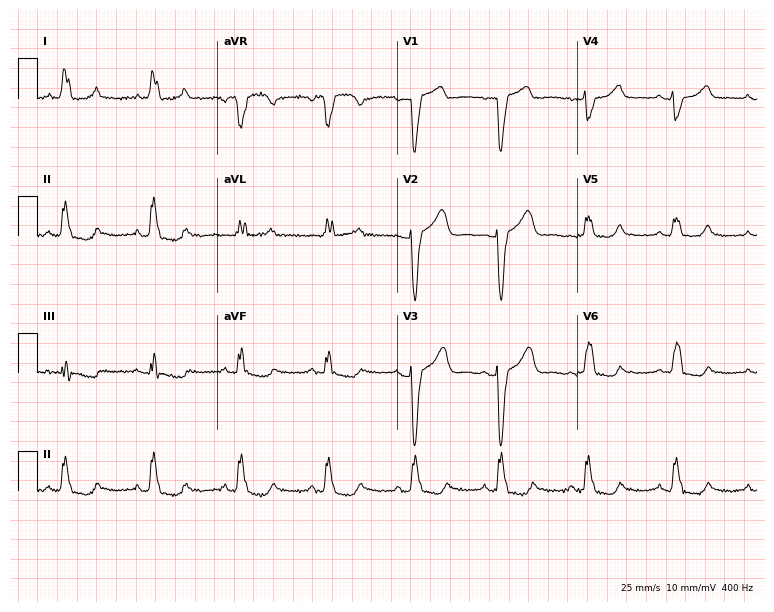
12-lead ECG (7.3-second recording at 400 Hz) from a 71-year-old female patient. Findings include left bundle branch block.